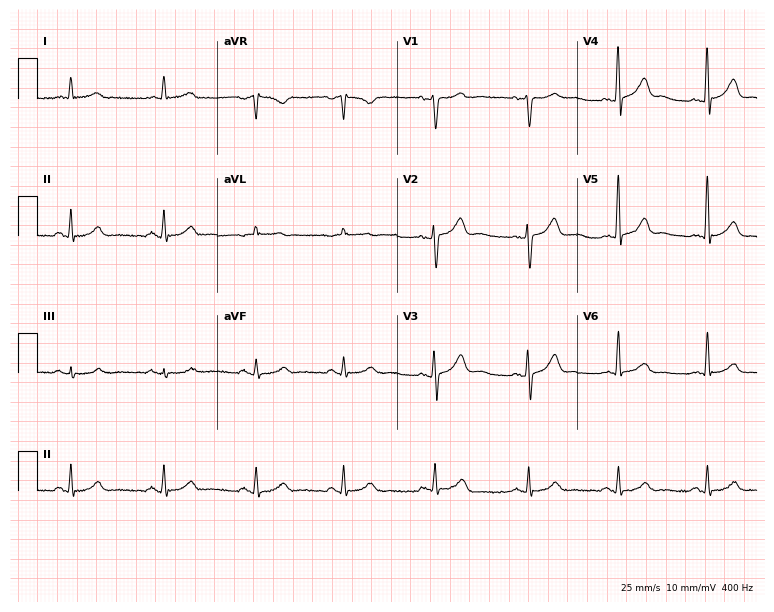
Resting 12-lead electrocardiogram. Patient: a man, 52 years old. None of these six findings is recorded: first-degree AV block, right bundle branch block, left bundle branch block, sinus bradycardia, atrial fibrillation, sinus tachycardia. Other findings, if any, are not listed.